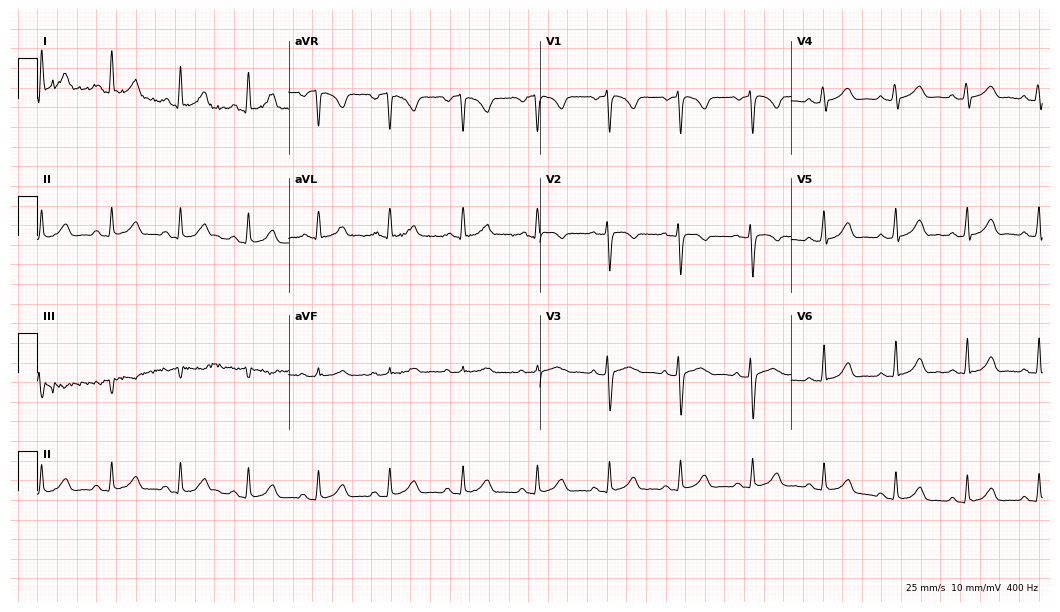
12-lead ECG (10.2-second recording at 400 Hz) from a 28-year-old woman. Labelled as a normal ECG.